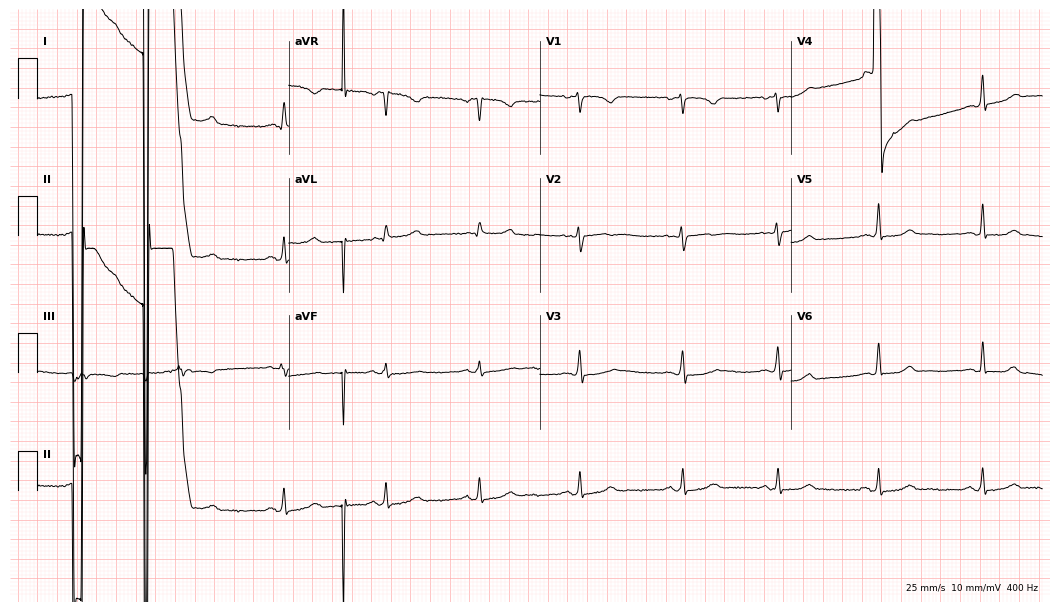
ECG — a female, 28 years old. Screened for six findings — first-degree AV block, right bundle branch block (RBBB), left bundle branch block (LBBB), sinus bradycardia, atrial fibrillation (AF), sinus tachycardia — none is recorded. Findings outside these six are not listed.